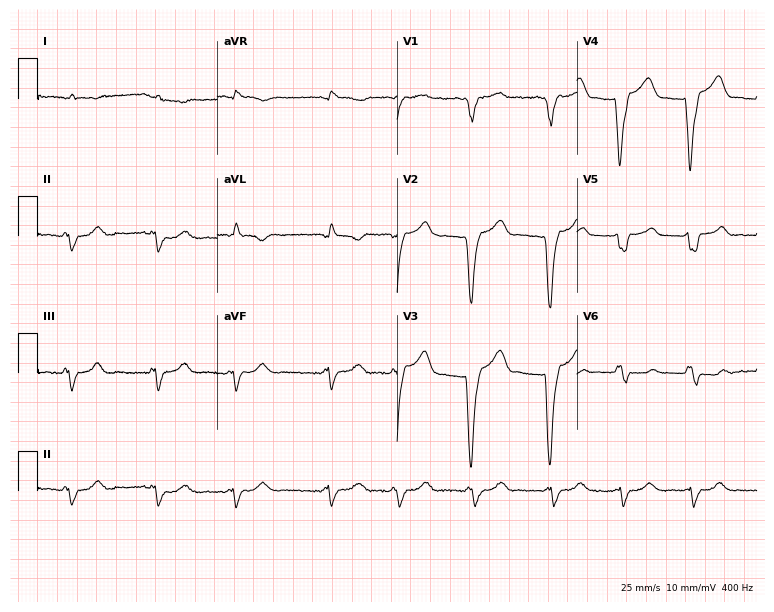
12-lead ECG from a 78-year-old woman (7.3-second recording at 400 Hz). No first-degree AV block, right bundle branch block, left bundle branch block, sinus bradycardia, atrial fibrillation or sinus tachycardia recorded for this tracing. Other findings, if any, are not listed.